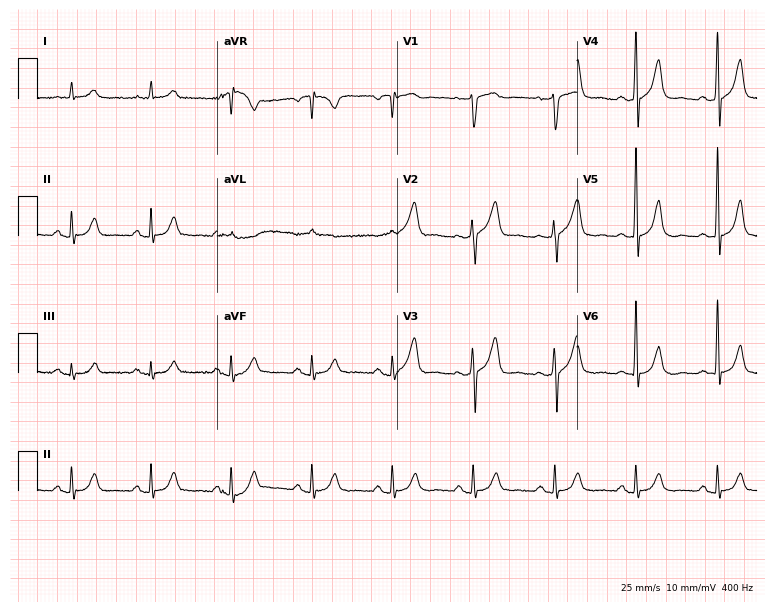
ECG — a 65-year-old male. Screened for six findings — first-degree AV block, right bundle branch block, left bundle branch block, sinus bradycardia, atrial fibrillation, sinus tachycardia — none is recorded.